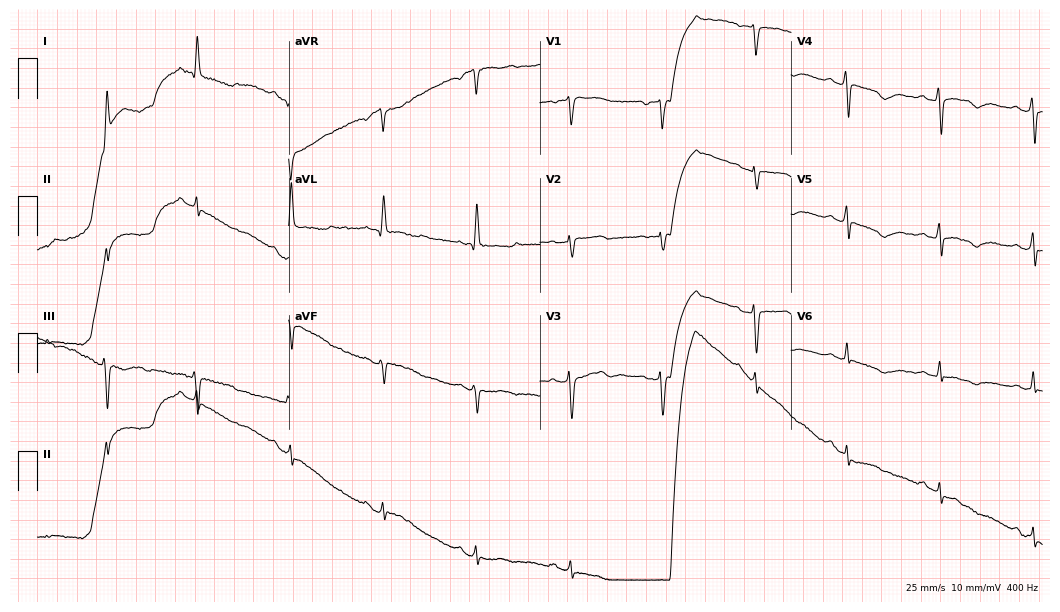
12-lead ECG (10.2-second recording at 400 Hz) from a female patient, 59 years old. Screened for six findings — first-degree AV block, right bundle branch block, left bundle branch block, sinus bradycardia, atrial fibrillation, sinus tachycardia — none is recorded.